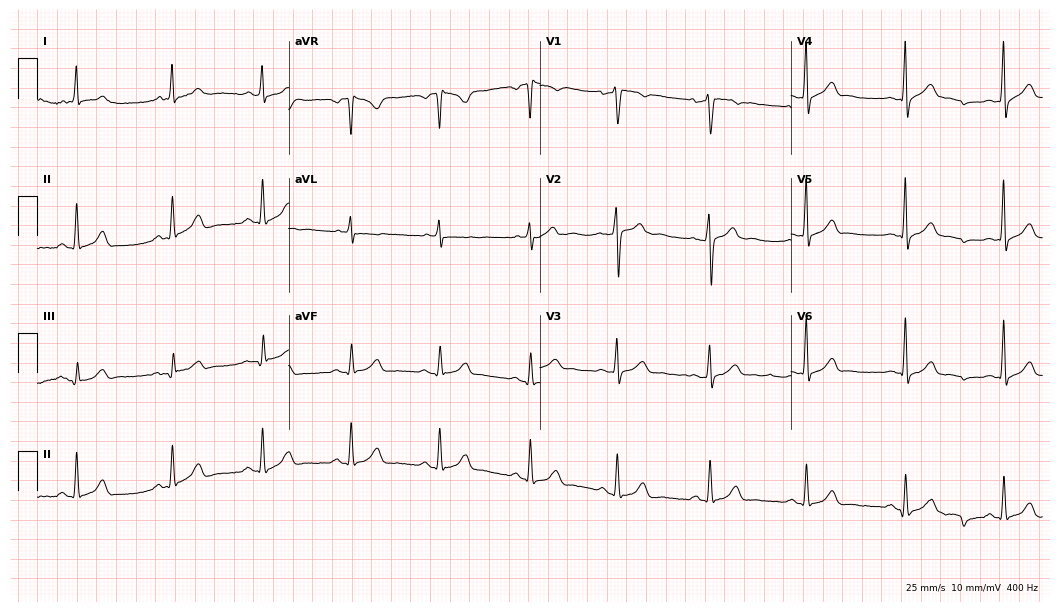
Electrocardiogram (10.2-second recording at 400 Hz), a 33-year-old male patient. Overall reading on record: normal ECG.